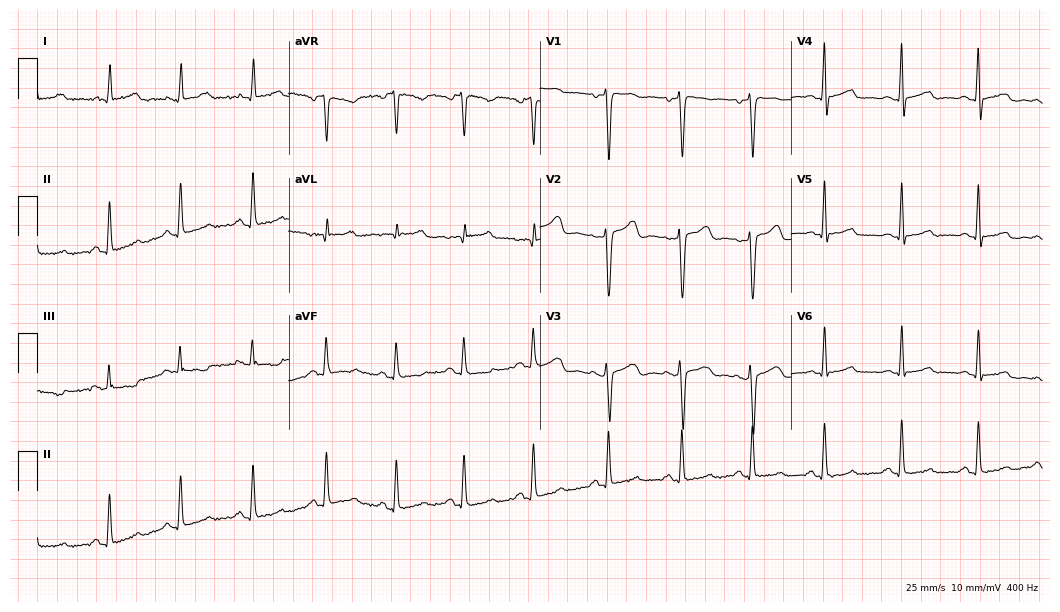
ECG — a 42-year-old female. Labelled as a normal ECG.